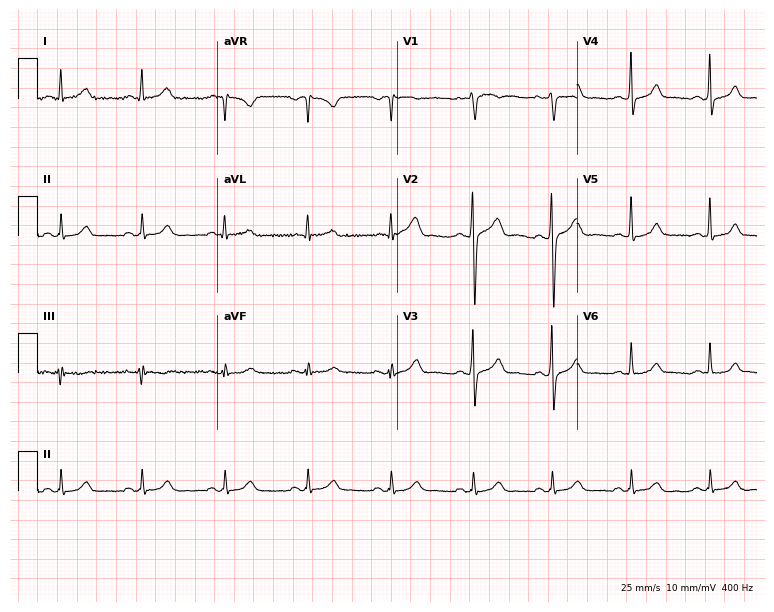
Standard 12-lead ECG recorded from a male, 31 years old (7.3-second recording at 400 Hz). None of these six findings is recorded: first-degree AV block, right bundle branch block (RBBB), left bundle branch block (LBBB), sinus bradycardia, atrial fibrillation (AF), sinus tachycardia. Findings outside these six are not listed.